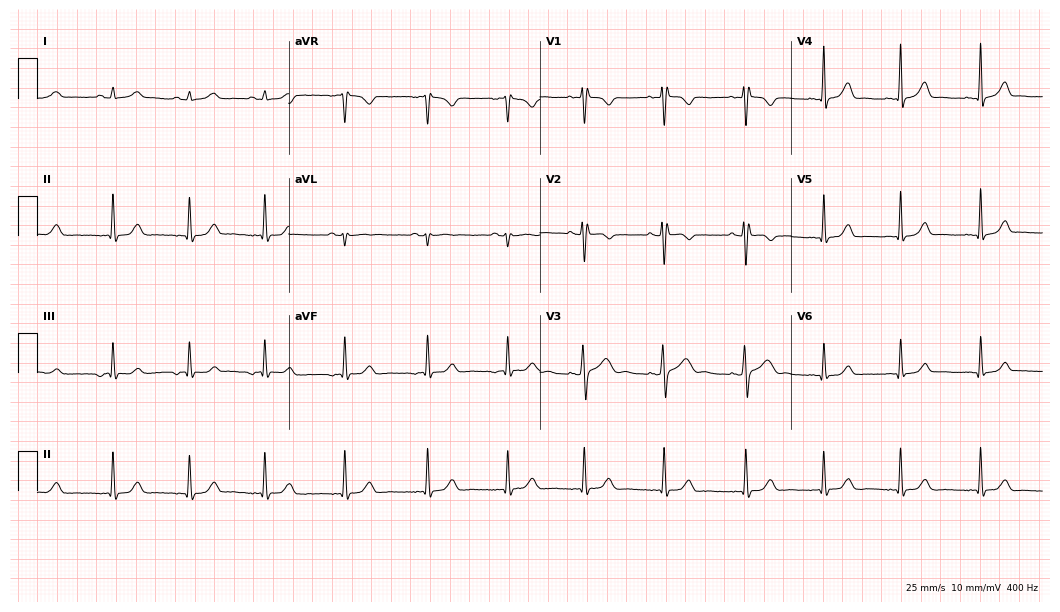
Electrocardiogram, a female patient, 18 years old. Overall reading on record: normal ECG.